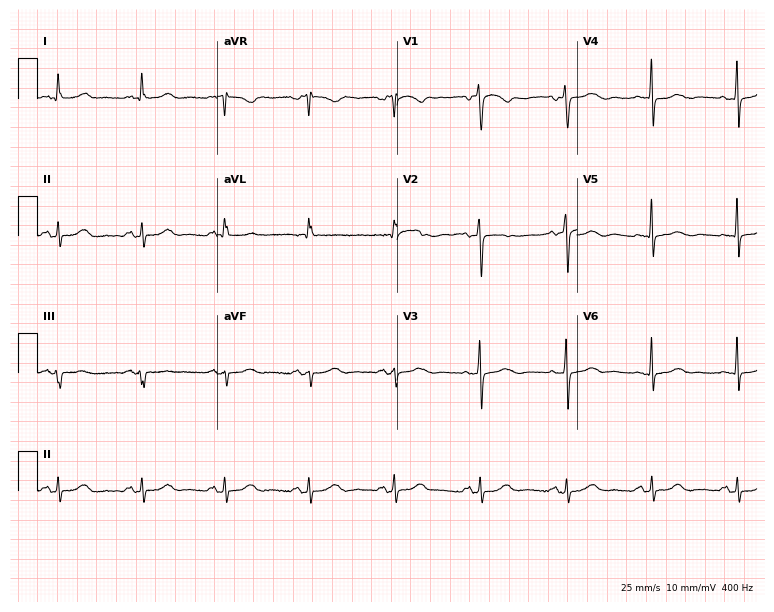
12-lead ECG from a woman, 65 years old. No first-degree AV block, right bundle branch block (RBBB), left bundle branch block (LBBB), sinus bradycardia, atrial fibrillation (AF) or sinus tachycardia recorded for this tracing.